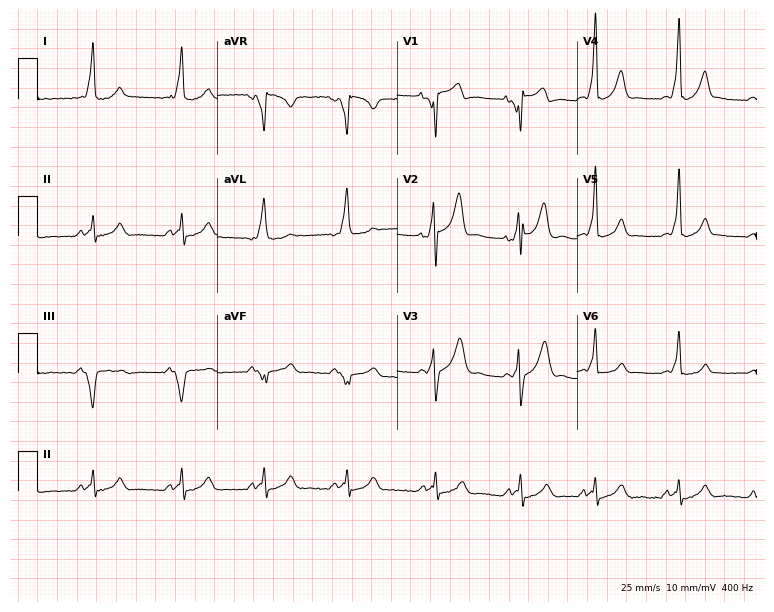
ECG (7.3-second recording at 400 Hz) — a male, 27 years old. Screened for six findings — first-degree AV block, right bundle branch block, left bundle branch block, sinus bradycardia, atrial fibrillation, sinus tachycardia — none is recorded. Only these six findings were labelled.